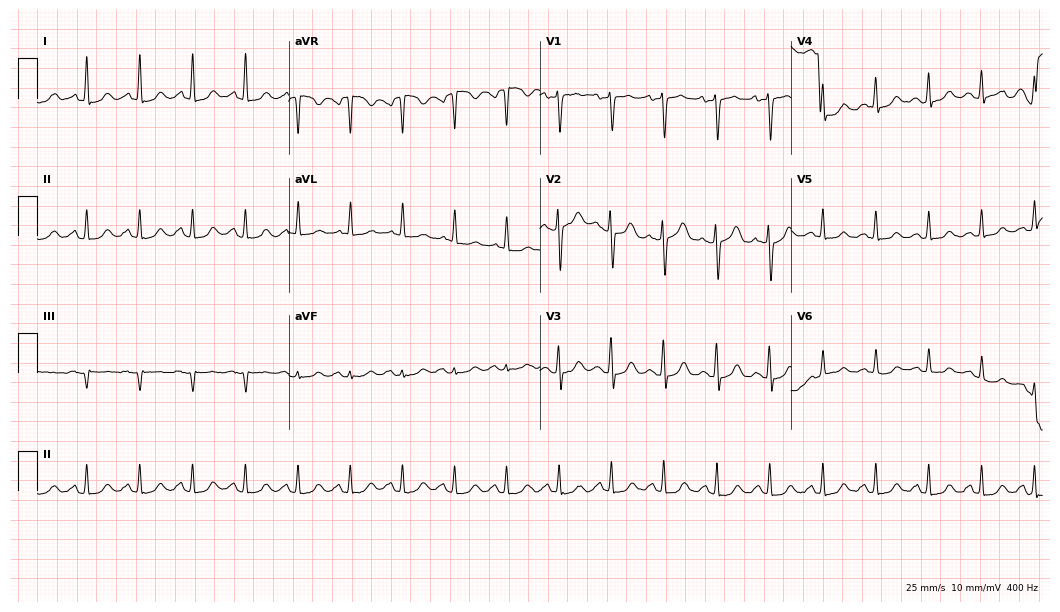
Standard 12-lead ECG recorded from a female patient, 49 years old. The tracing shows sinus tachycardia (a sinus rate of 100 beats per minute or more).